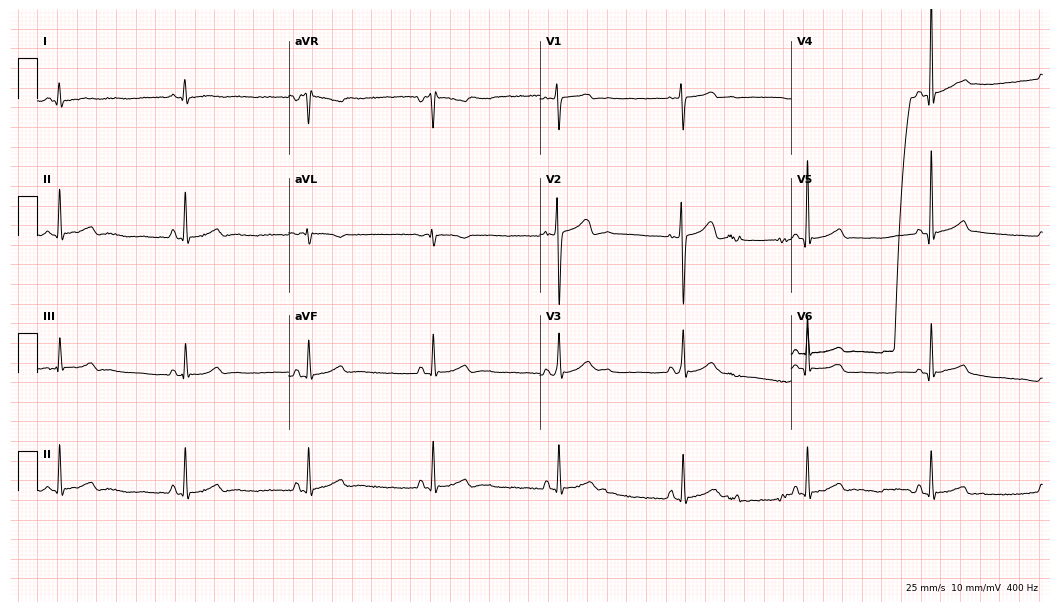
12-lead ECG from a 19-year-old man. Labelled as a normal ECG.